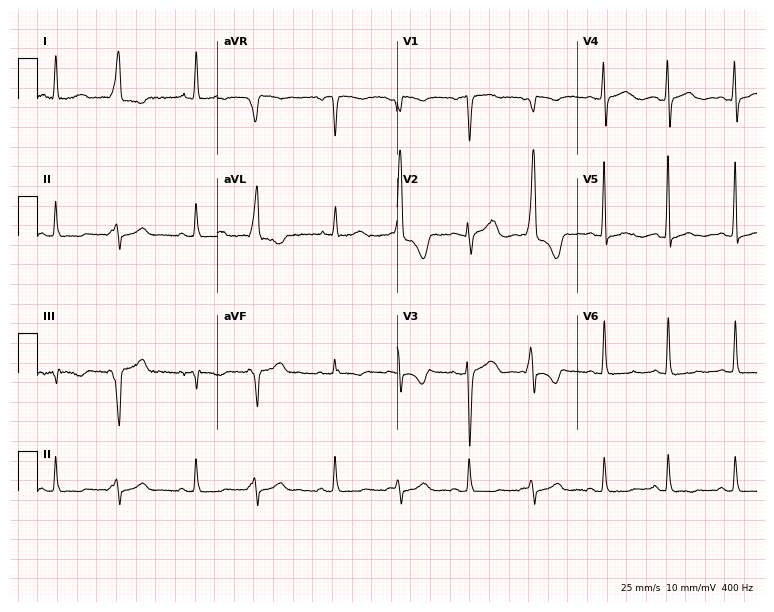
12-lead ECG from a 78-year-old woman (7.3-second recording at 400 Hz). Recorded interpretation: within normal limits.